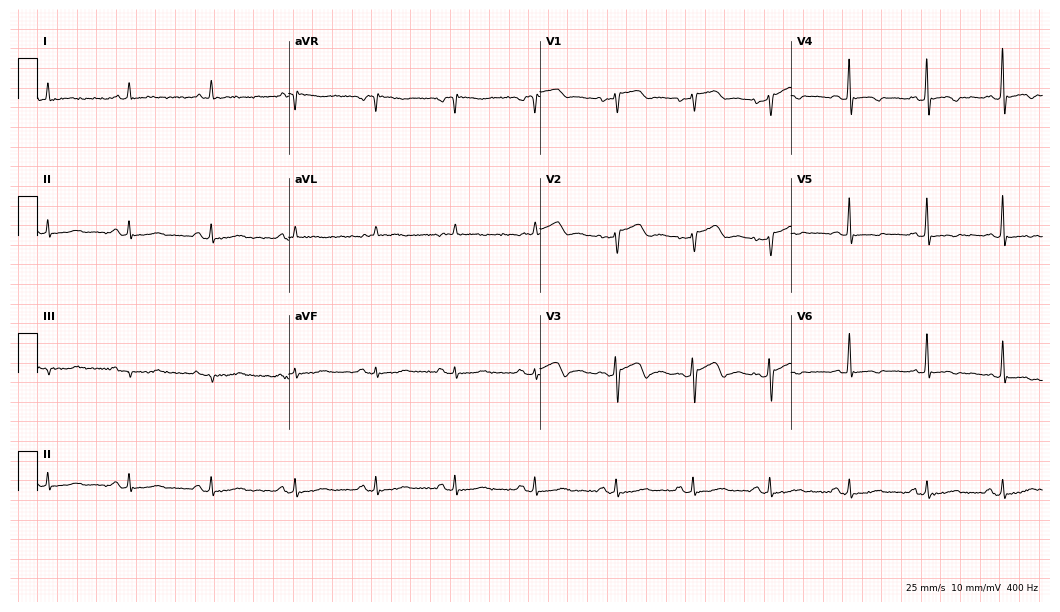
Standard 12-lead ECG recorded from a female, 77 years old. None of these six findings is recorded: first-degree AV block, right bundle branch block (RBBB), left bundle branch block (LBBB), sinus bradycardia, atrial fibrillation (AF), sinus tachycardia. Other findings, if any, are not listed.